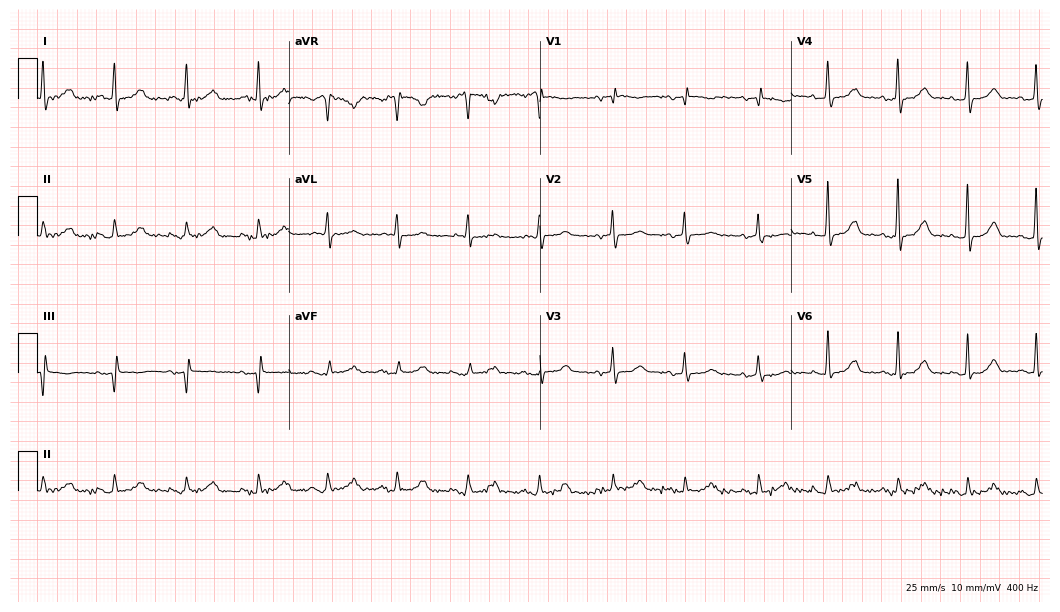
Resting 12-lead electrocardiogram. Patient: a woman, 73 years old. None of these six findings is recorded: first-degree AV block, right bundle branch block, left bundle branch block, sinus bradycardia, atrial fibrillation, sinus tachycardia. Only these six findings were labelled.